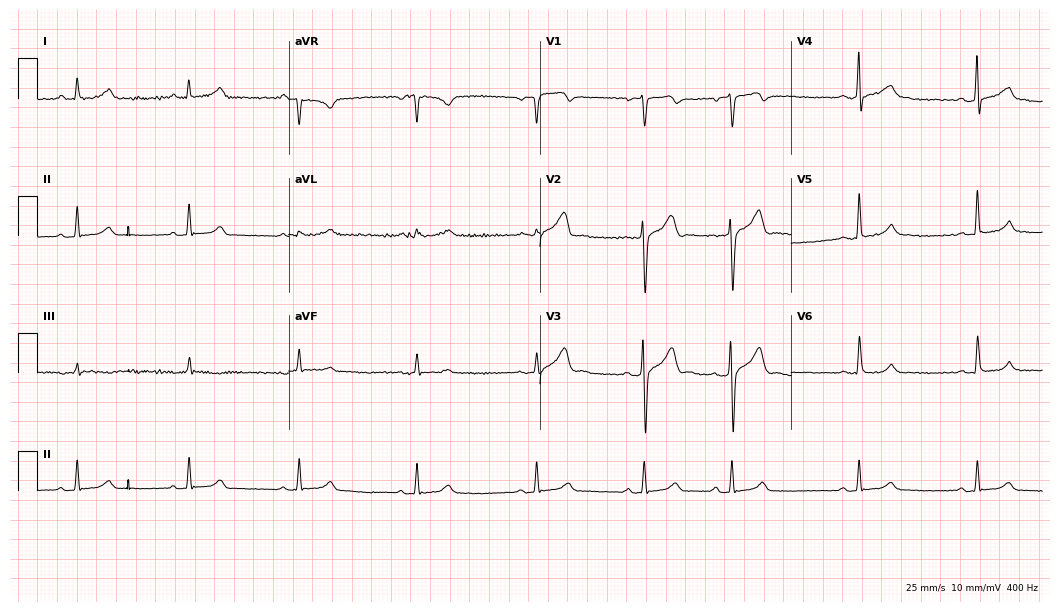
ECG — a man, 37 years old. Labelled as a normal ECG.